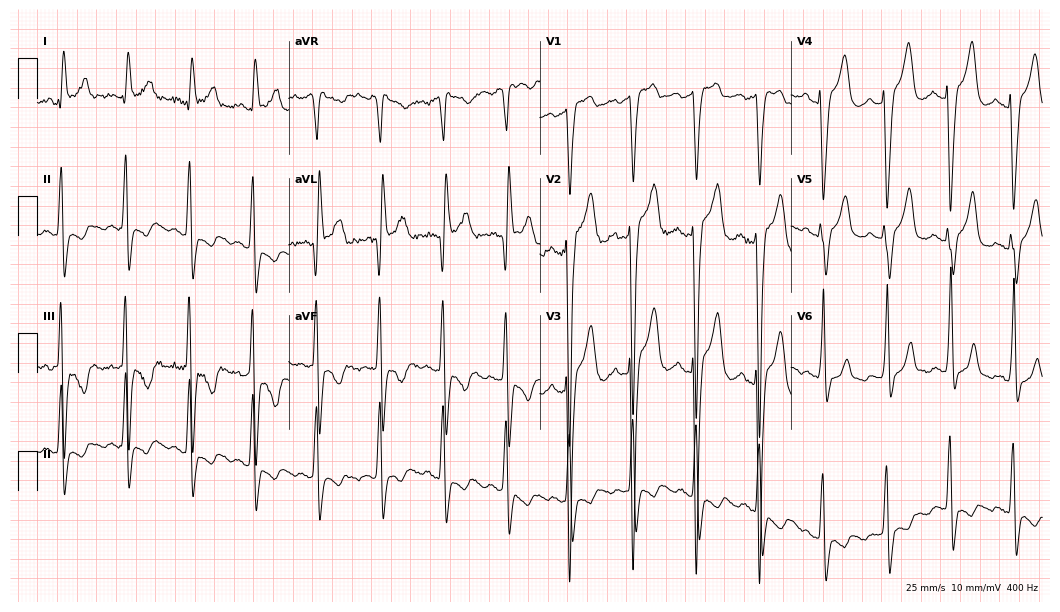
ECG (10.2-second recording at 400 Hz) — a male, 43 years old. Findings include left bundle branch block (LBBB).